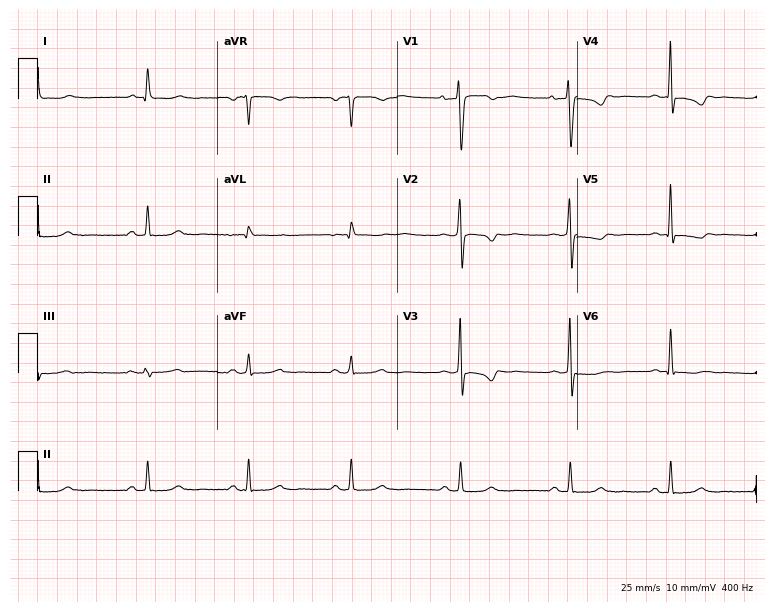
Electrocardiogram (7.3-second recording at 400 Hz), a female, 38 years old. Of the six screened findings (first-degree AV block, right bundle branch block (RBBB), left bundle branch block (LBBB), sinus bradycardia, atrial fibrillation (AF), sinus tachycardia), none is recorded.